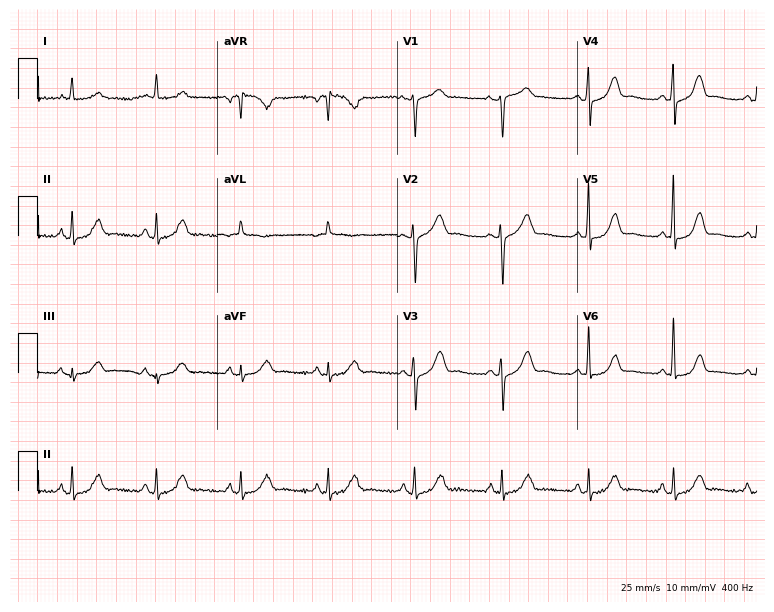
12-lead ECG from an 80-year-old woman. Screened for six findings — first-degree AV block, right bundle branch block (RBBB), left bundle branch block (LBBB), sinus bradycardia, atrial fibrillation (AF), sinus tachycardia — none is recorded. Other findings, if any, are not listed.